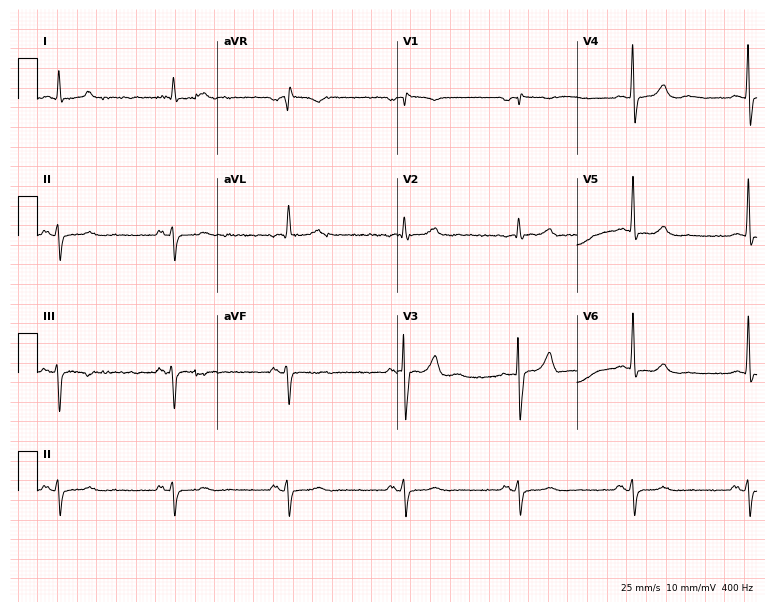
12-lead ECG from a 76-year-old man. Screened for six findings — first-degree AV block, right bundle branch block, left bundle branch block, sinus bradycardia, atrial fibrillation, sinus tachycardia — none is recorded. Only these six findings were labelled.